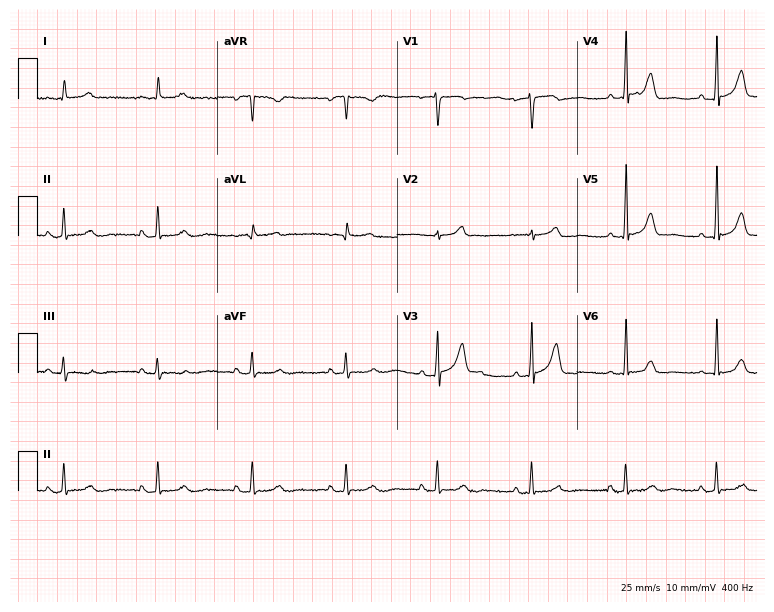
Electrocardiogram, a male, 72 years old. Overall reading on record: normal ECG.